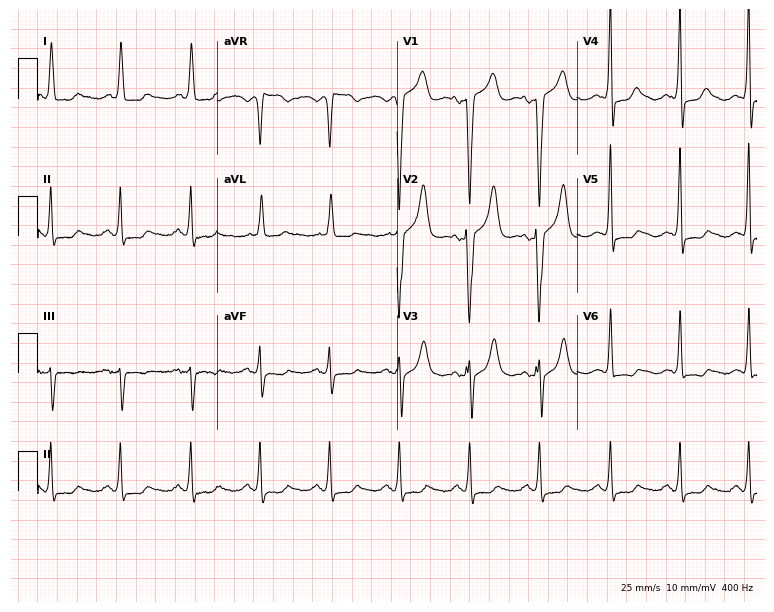
Electrocardiogram (7.3-second recording at 400 Hz), an 88-year-old female patient. Of the six screened findings (first-degree AV block, right bundle branch block (RBBB), left bundle branch block (LBBB), sinus bradycardia, atrial fibrillation (AF), sinus tachycardia), none is recorded.